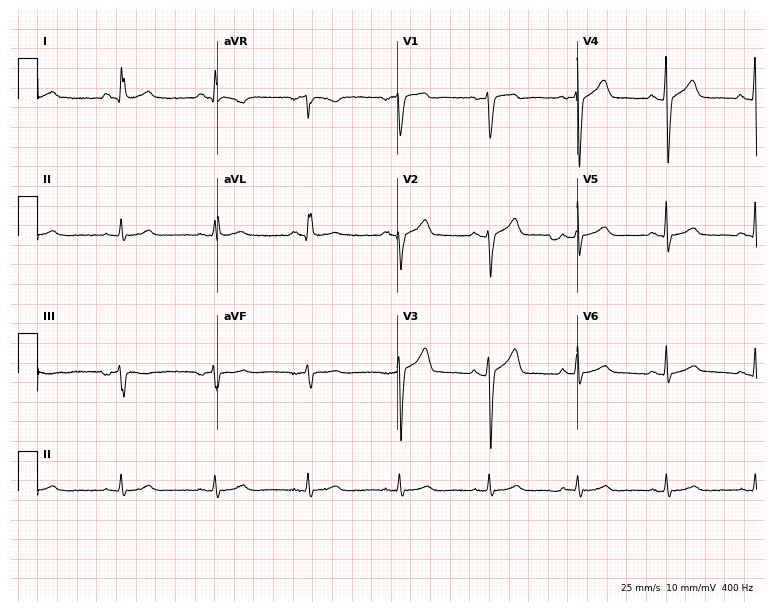
Electrocardiogram, a man, 40 years old. Overall reading on record: normal ECG.